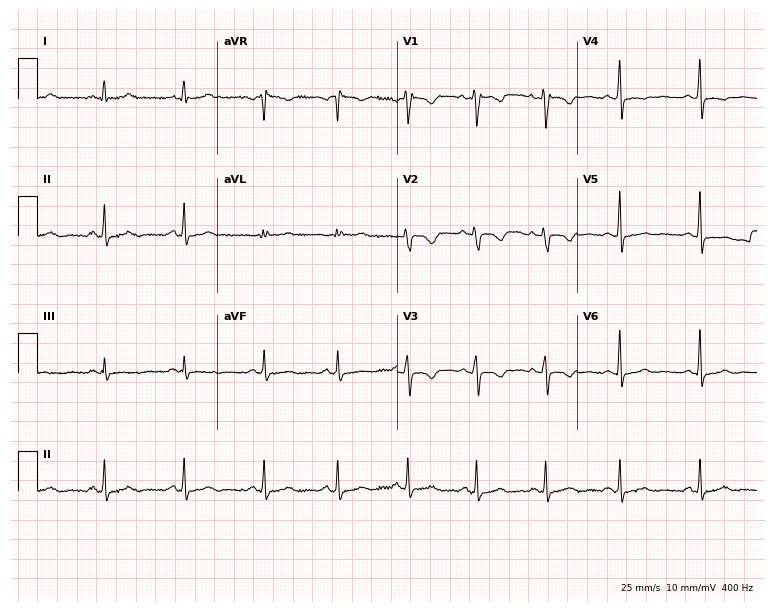
12-lead ECG (7.3-second recording at 400 Hz) from a 35-year-old female patient. Screened for six findings — first-degree AV block, right bundle branch block, left bundle branch block, sinus bradycardia, atrial fibrillation, sinus tachycardia — none is recorded. Other findings, if any, are not listed.